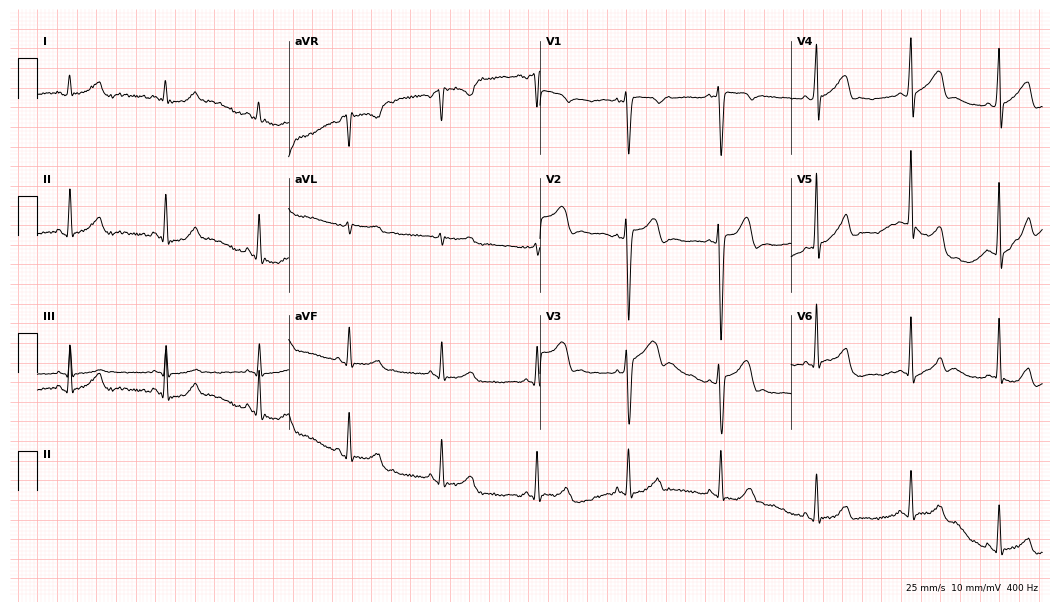
12-lead ECG (10.2-second recording at 400 Hz) from a 19-year-old male. Labelled as a normal ECG.